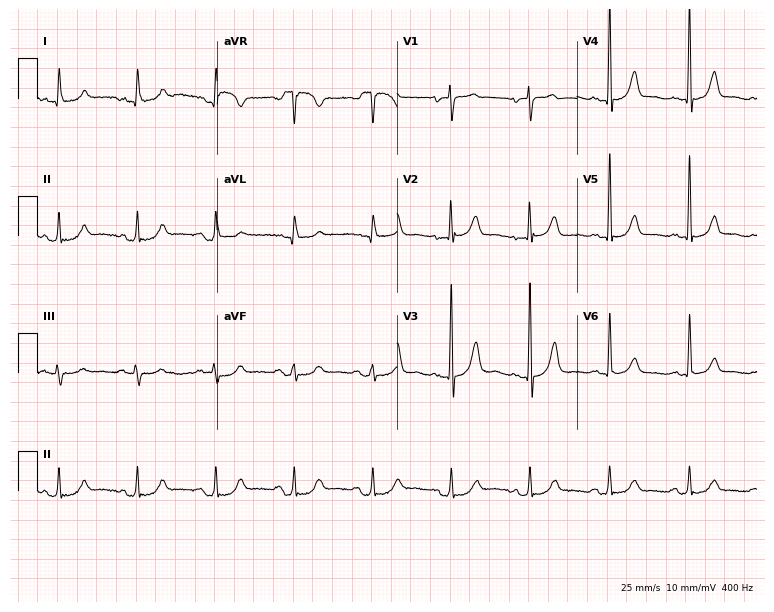
Standard 12-lead ECG recorded from a male patient, 82 years old (7.3-second recording at 400 Hz). Read as a normal ECG.